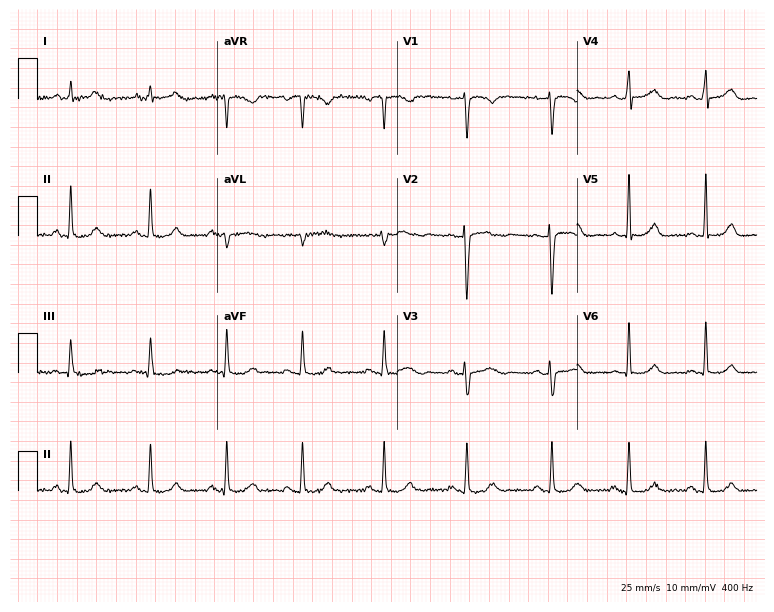
12-lead ECG from a 41-year-old female patient. No first-degree AV block, right bundle branch block, left bundle branch block, sinus bradycardia, atrial fibrillation or sinus tachycardia recorded for this tracing.